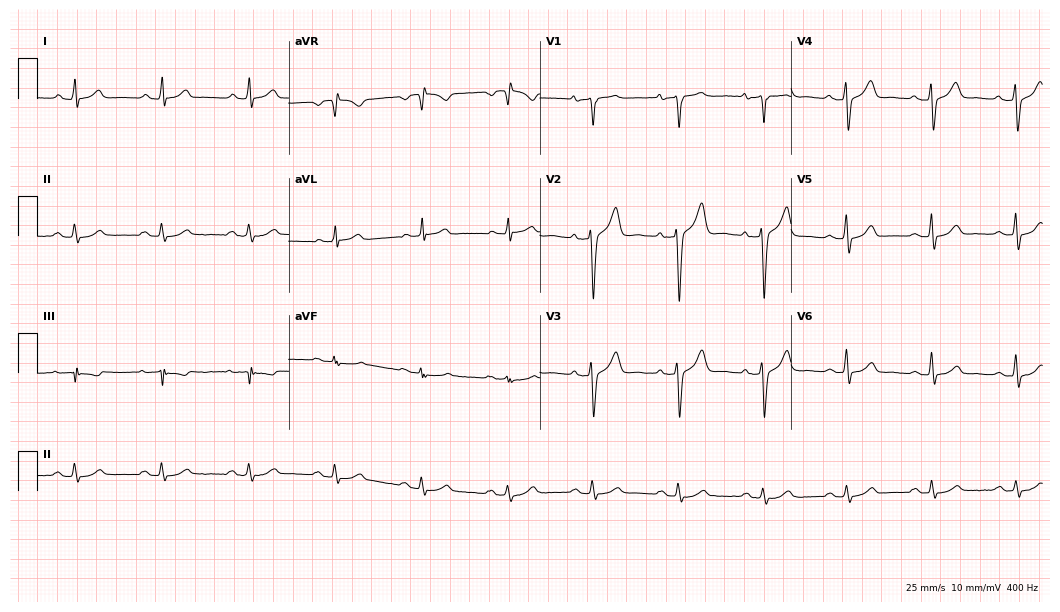
Standard 12-lead ECG recorded from a 43-year-old male (10.2-second recording at 400 Hz). Read as a normal ECG.